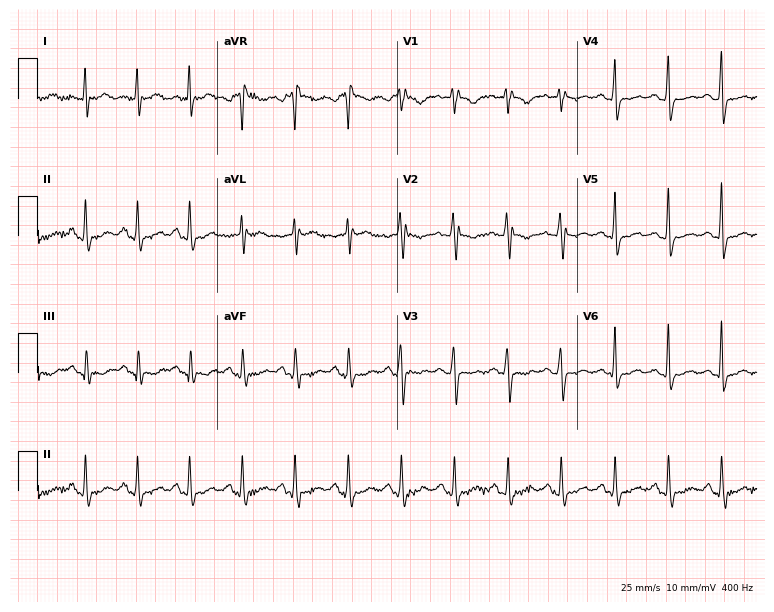
12-lead ECG from a 33-year-old female. Findings include sinus tachycardia (a sinus rate of 100 beats per minute or more).